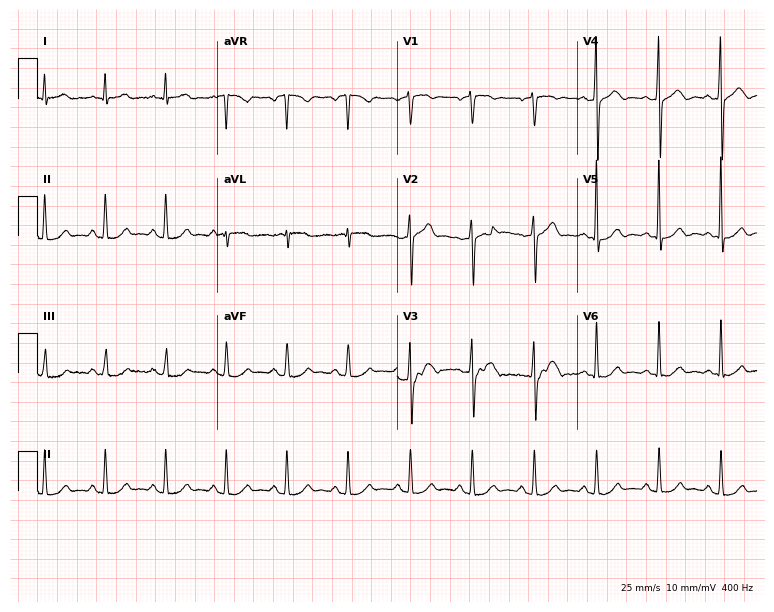
Resting 12-lead electrocardiogram. Patient: a 55-year-old male. None of these six findings is recorded: first-degree AV block, right bundle branch block, left bundle branch block, sinus bradycardia, atrial fibrillation, sinus tachycardia.